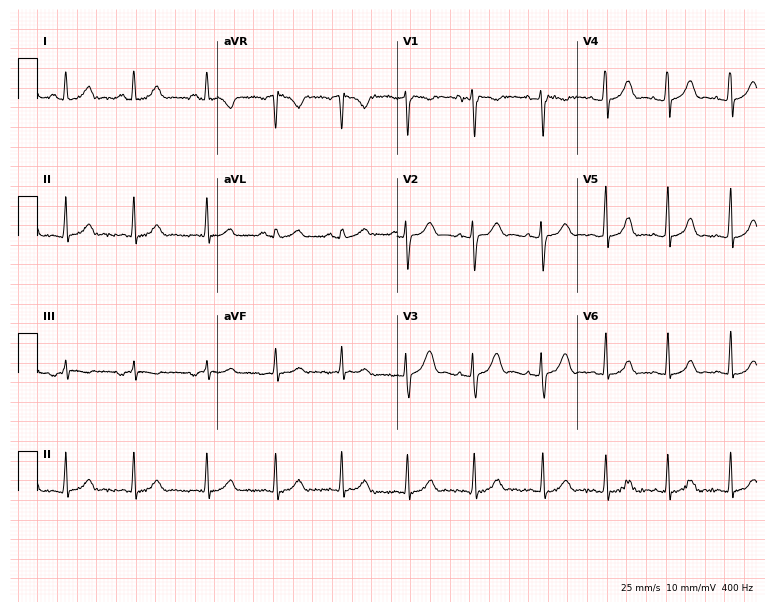
ECG — a 24-year-old female patient. Labelled as a normal ECG.